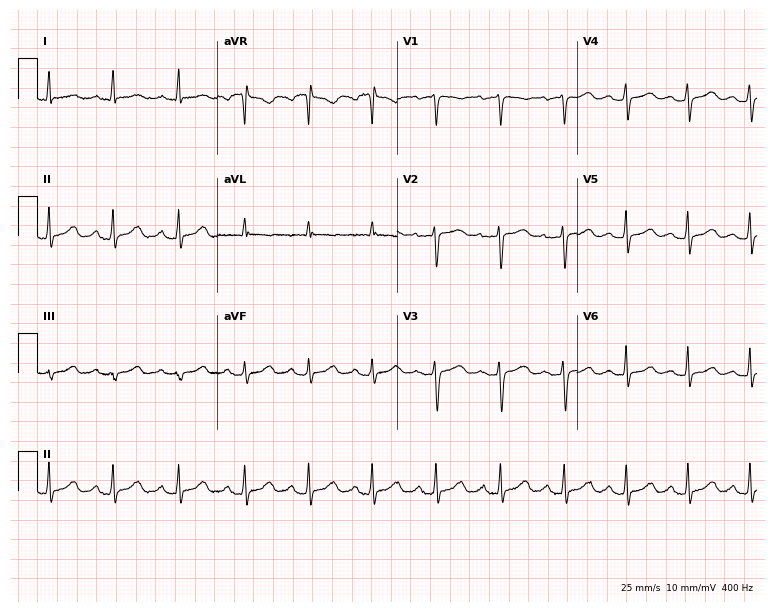
Standard 12-lead ECG recorded from a female, 35 years old (7.3-second recording at 400 Hz). Read as a normal ECG.